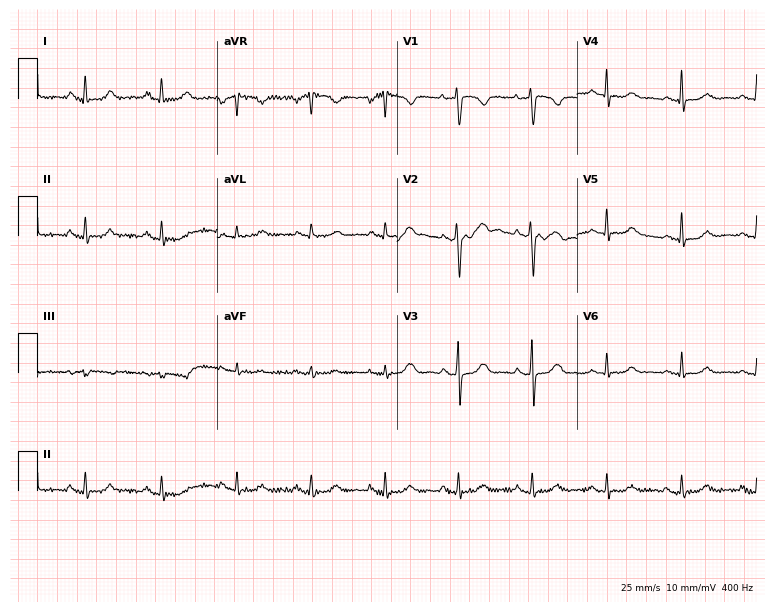
Electrocardiogram, a 47-year-old woman. Overall reading on record: normal ECG.